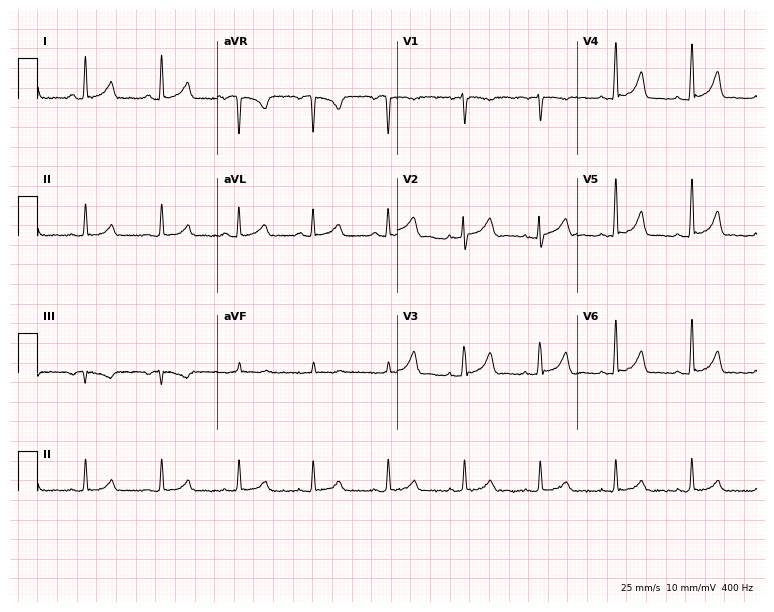
12-lead ECG (7.3-second recording at 400 Hz) from a woman, 34 years old. Labelled as a normal ECG.